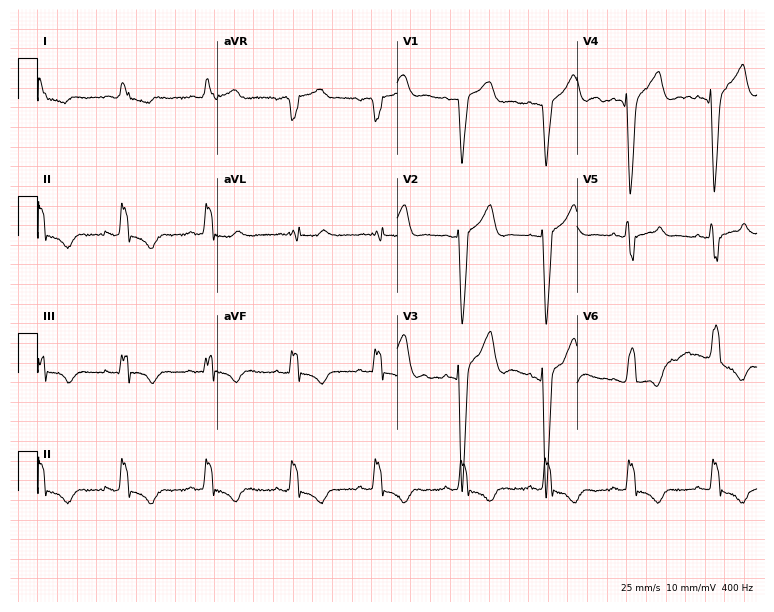
ECG (7.3-second recording at 400 Hz) — a male, 80 years old. Findings include left bundle branch block (LBBB).